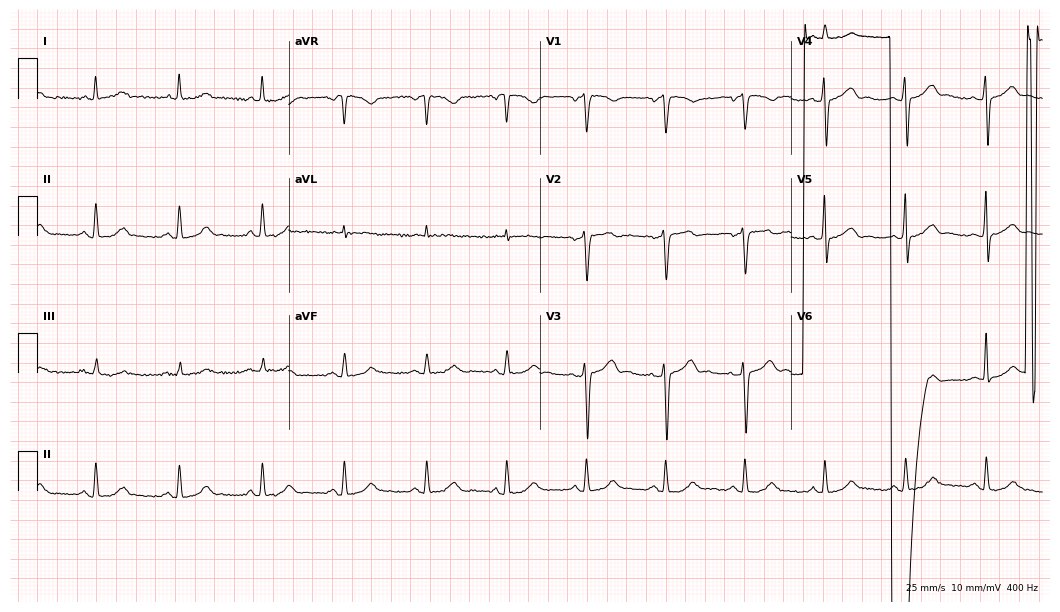
Resting 12-lead electrocardiogram (10.2-second recording at 400 Hz). Patient: a 51-year-old man. None of these six findings is recorded: first-degree AV block, right bundle branch block (RBBB), left bundle branch block (LBBB), sinus bradycardia, atrial fibrillation (AF), sinus tachycardia. Only these six findings were labelled.